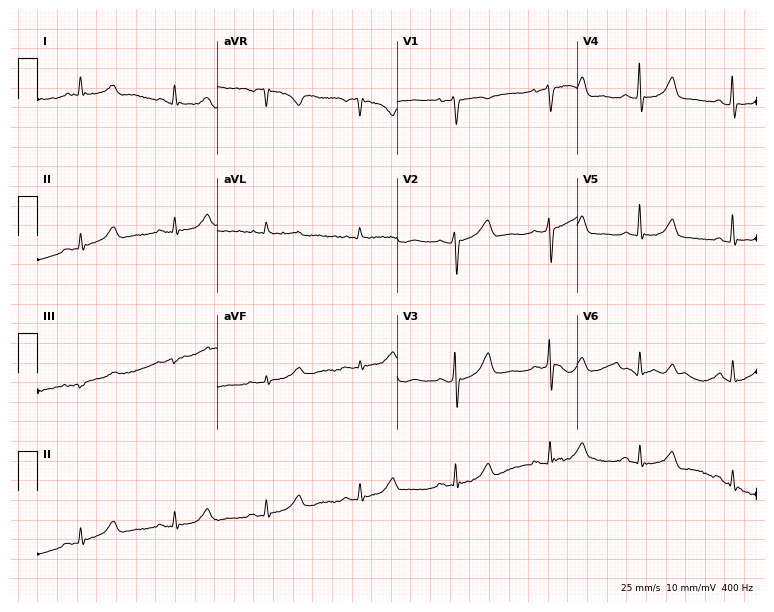
Resting 12-lead electrocardiogram. Patient: a female, 61 years old. None of these six findings is recorded: first-degree AV block, right bundle branch block (RBBB), left bundle branch block (LBBB), sinus bradycardia, atrial fibrillation (AF), sinus tachycardia. Findings outside these six are not listed.